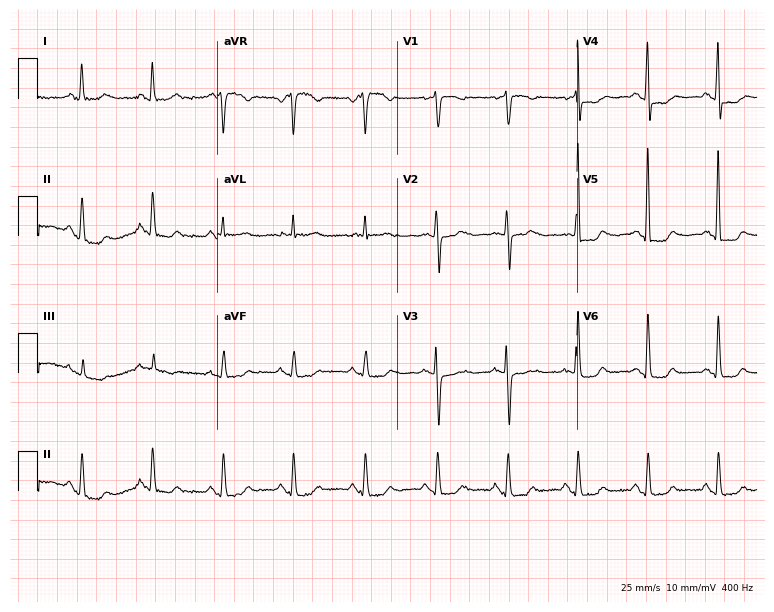
ECG — a female, 72 years old. Screened for six findings — first-degree AV block, right bundle branch block, left bundle branch block, sinus bradycardia, atrial fibrillation, sinus tachycardia — none is recorded.